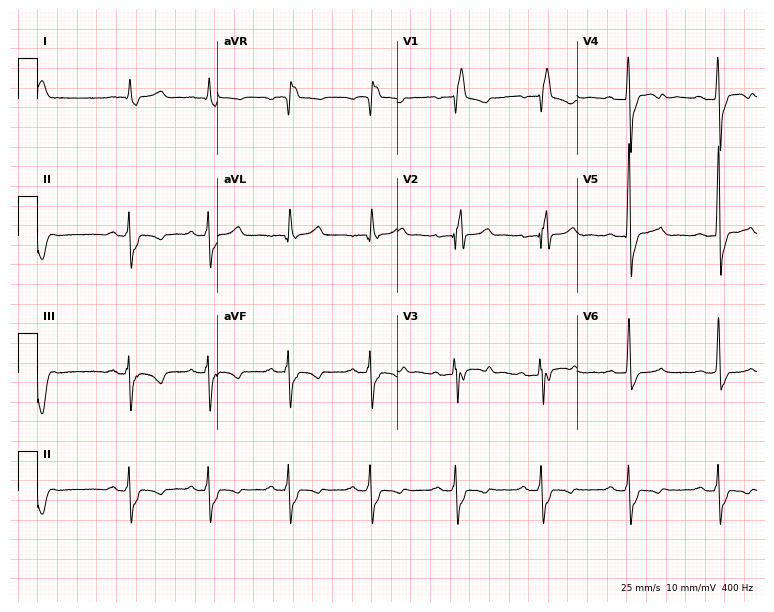
Electrocardiogram, a 34-year-old male. Interpretation includes right bundle branch block (RBBB).